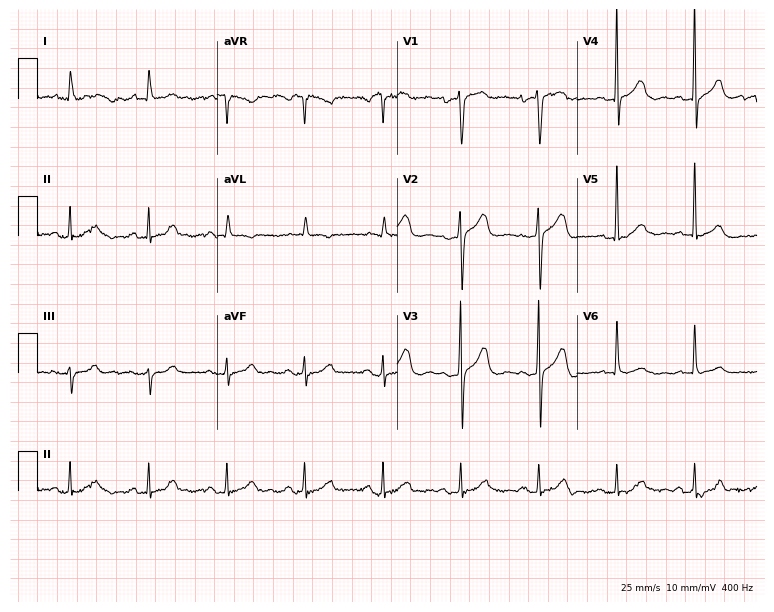
12-lead ECG from a man, 85 years old (7.3-second recording at 400 Hz). No first-degree AV block, right bundle branch block, left bundle branch block, sinus bradycardia, atrial fibrillation or sinus tachycardia recorded for this tracing. Other findings, if any, are not listed.